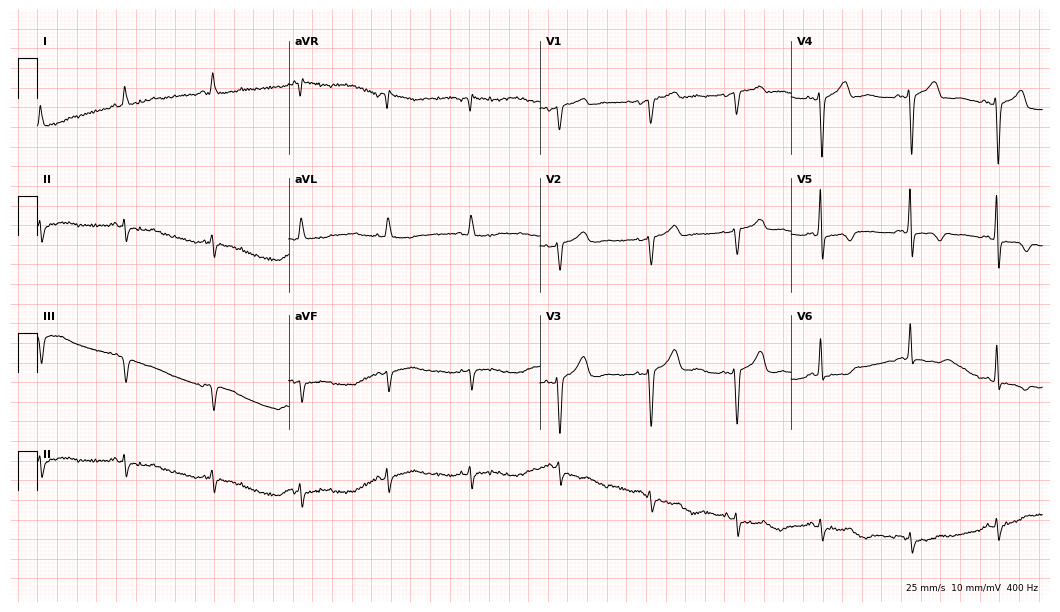
Electrocardiogram (10.2-second recording at 400 Hz), a 67-year-old female patient. Of the six screened findings (first-degree AV block, right bundle branch block, left bundle branch block, sinus bradycardia, atrial fibrillation, sinus tachycardia), none is recorded.